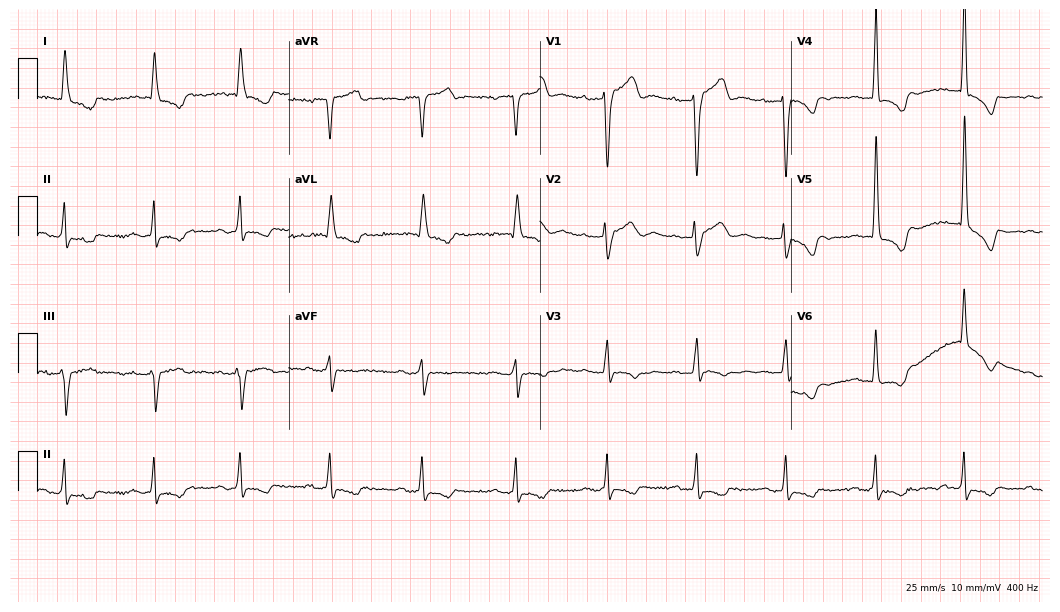
ECG (10.2-second recording at 400 Hz) — an 81-year-old female. Screened for six findings — first-degree AV block, right bundle branch block (RBBB), left bundle branch block (LBBB), sinus bradycardia, atrial fibrillation (AF), sinus tachycardia — none is recorded. Findings outside these six are not listed.